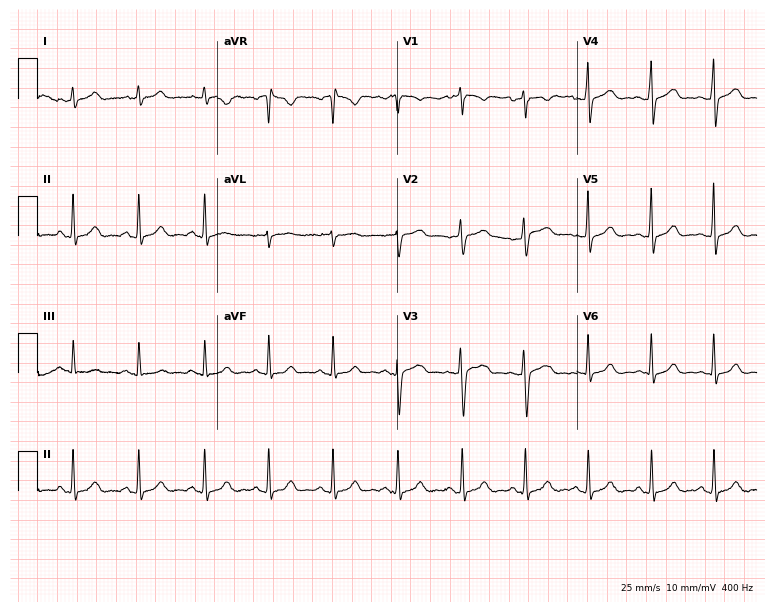
ECG — a 31-year-old female. Labelled as a normal ECG.